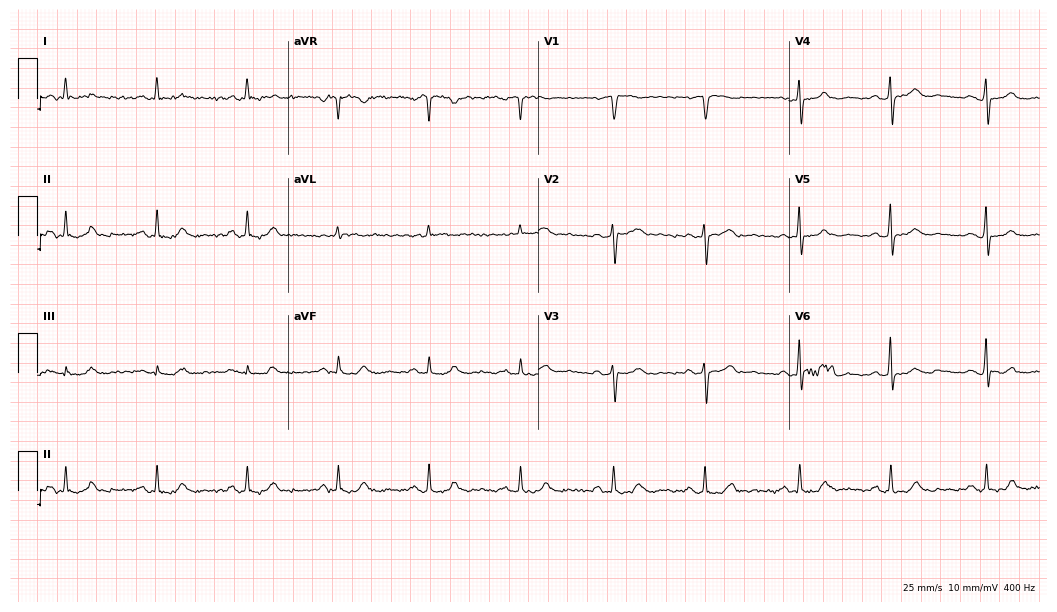
12-lead ECG from a woman, 71 years old (10.2-second recording at 400 Hz). Recorded interpretation: within normal limits.